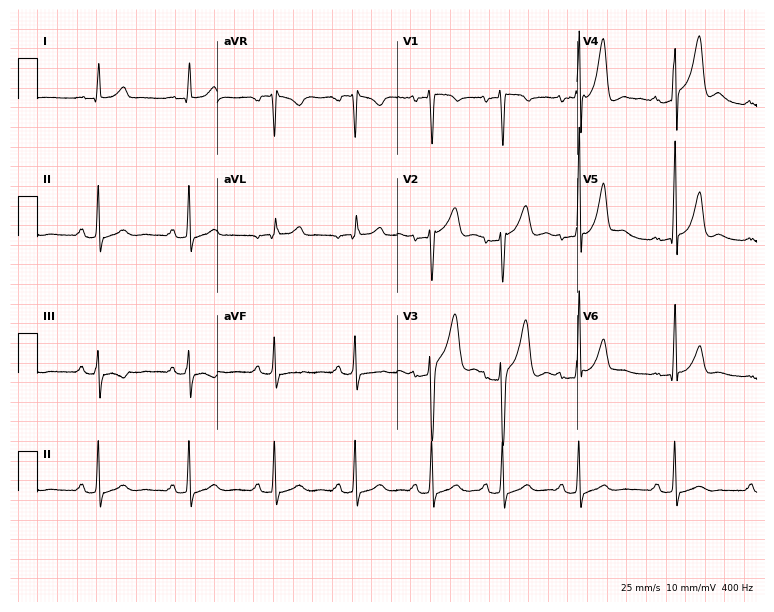
12-lead ECG from a man, 32 years old (7.3-second recording at 400 Hz). Recorded interpretation: within normal limits.